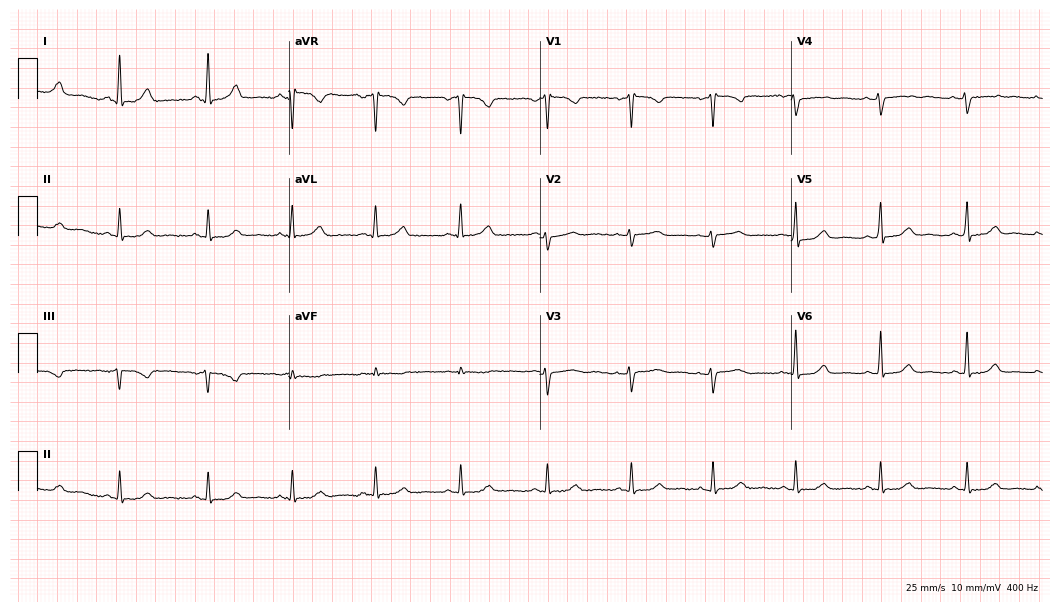
Standard 12-lead ECG recorded from a 44-year-old female (10.2-second recording at 400 Hz). None of these six findings is recorded: first-degree AV block, right bundle branch block, left bundle branch block, sinus bradycardia, atrial fibrillation, sinus tachycardia.